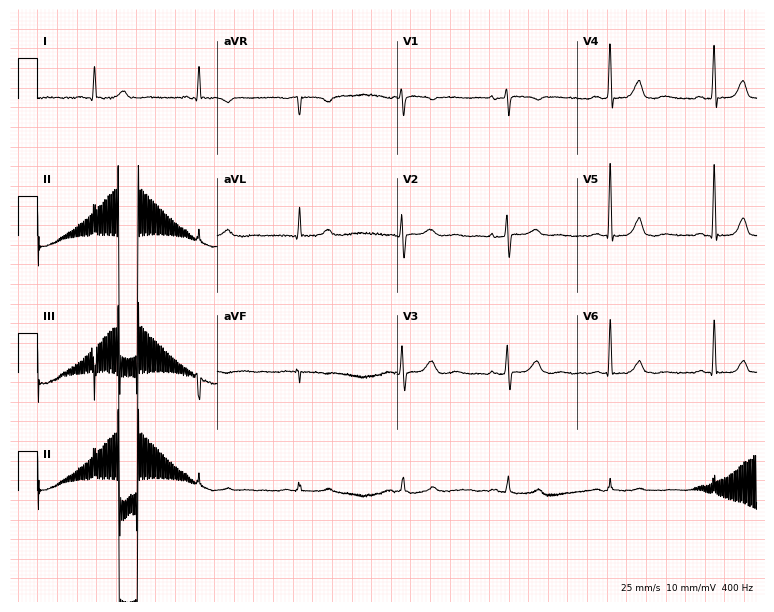
ECG — a woman, 73 years old. Labelled as a normal ECG.